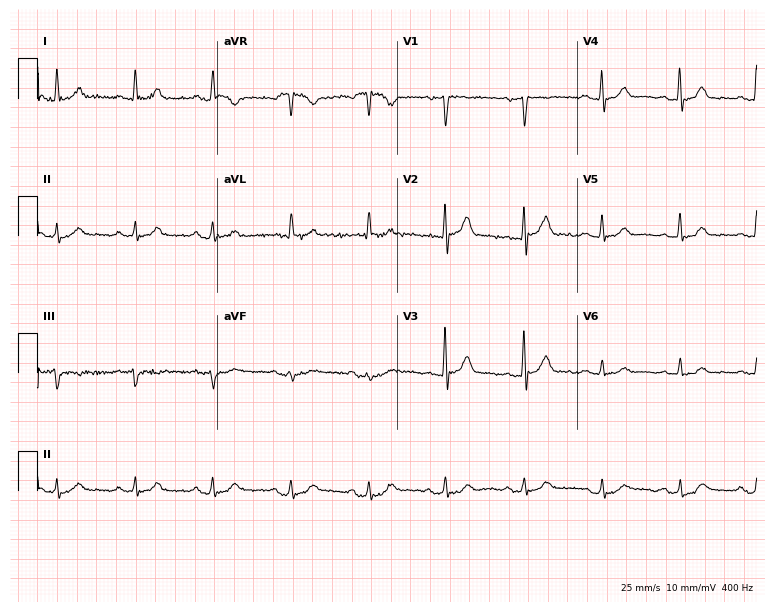
12-lead ECG (7.3-second recording at 400 Hz) from a 77-year-old male. Labelled as a normal ECG.